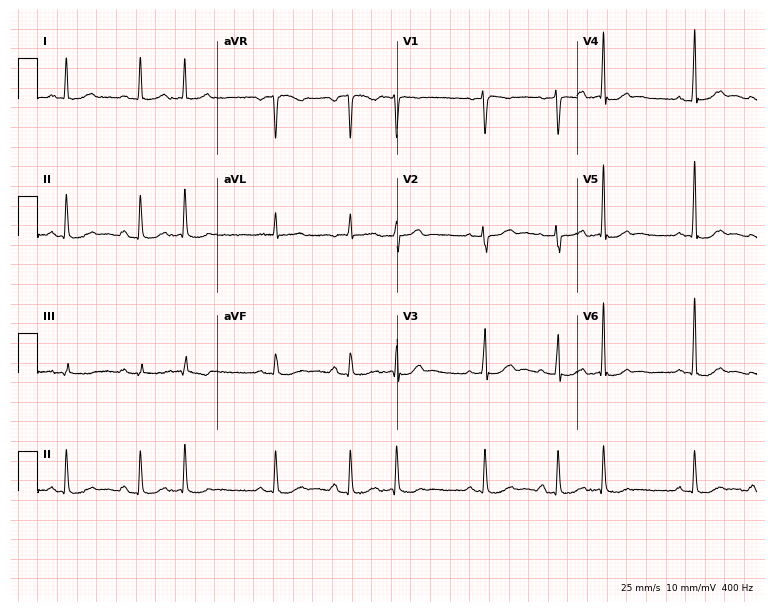
Standard 12-lead ECG recorded from a female patient, 59 years old. None of these six findings is recorded: first-degree AV block, right bundle branch block, left bundle branch block, sinus bradycardia, atrial fibrillation, sinus tachycardia. Only these six findings were labelled.